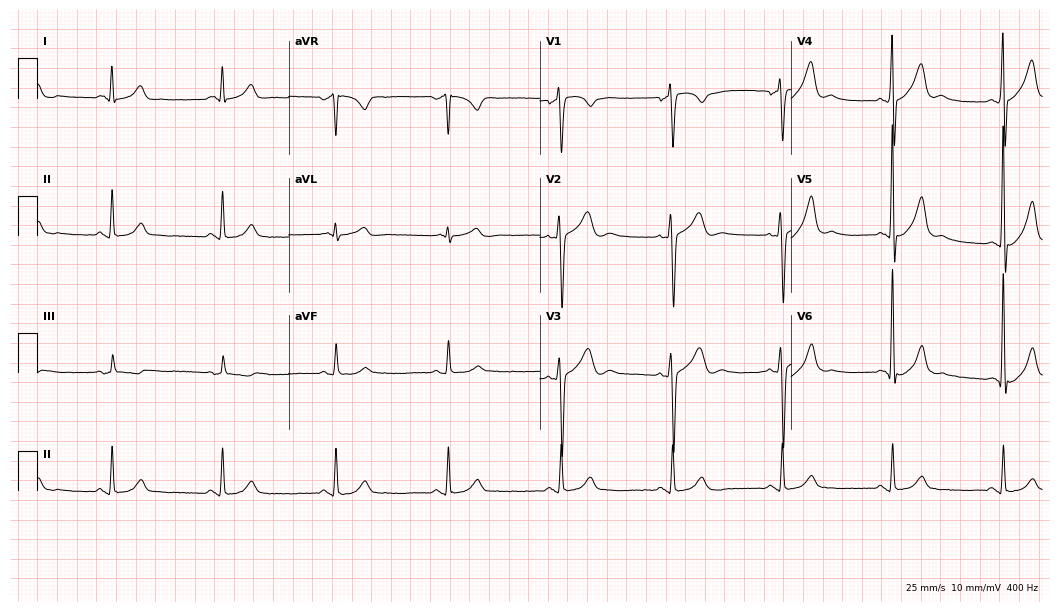
ECG — a 44-year-old man. Labelled as a normal ECG.